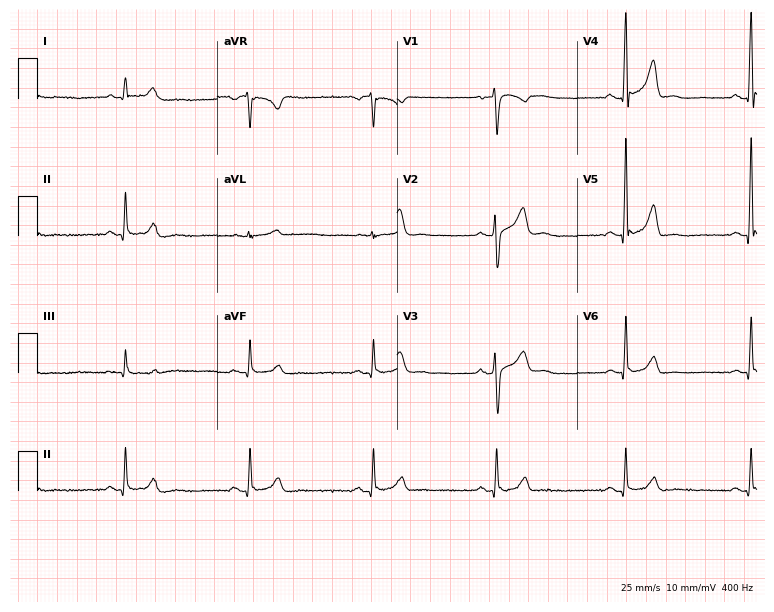
12-lead ECG from a male, 46 years old. Shows sinus bradycardia (a sinus rate of 50 beats per minute or less).